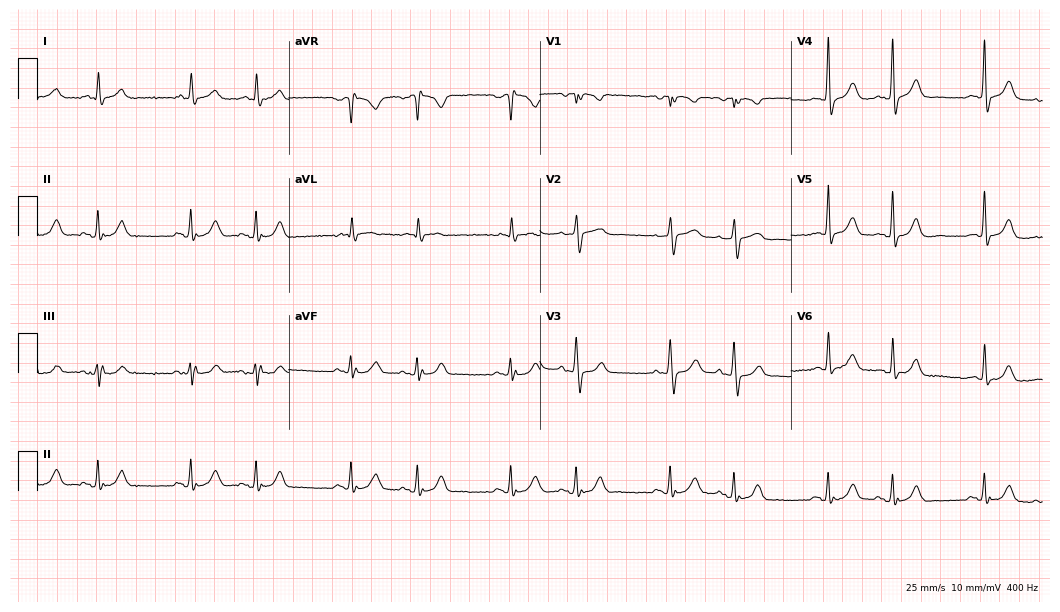
Standard 12-lead ECG recorded from a 78-year-old male patient. None of these six findings is recorded: first-degree AV block, right bundle branch block, left bundle branch block, sinus bradycardia, atrial fibrillation, sinus tachycardia.